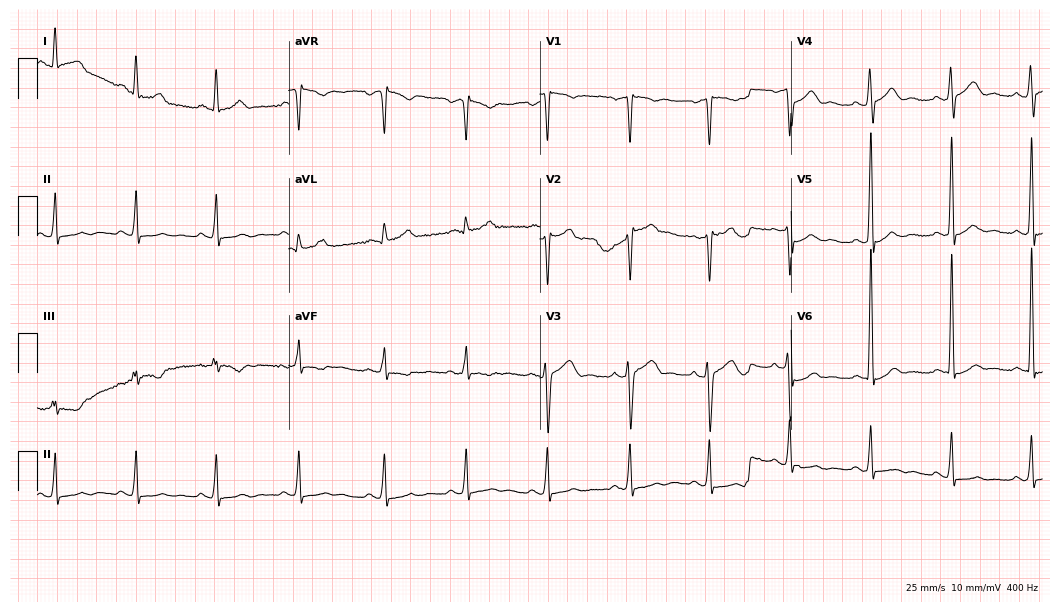
Electrocardiogram (10.2-second recording at 400 Hz), a man, 46 years old. Of the six screened findings (first-degree AV block, right bundle branch block (RBBB), left bundle branch block (LBBB), sinus bradycardia, atrial fibrillation (AF), sinus tachycardia), none is recorded.